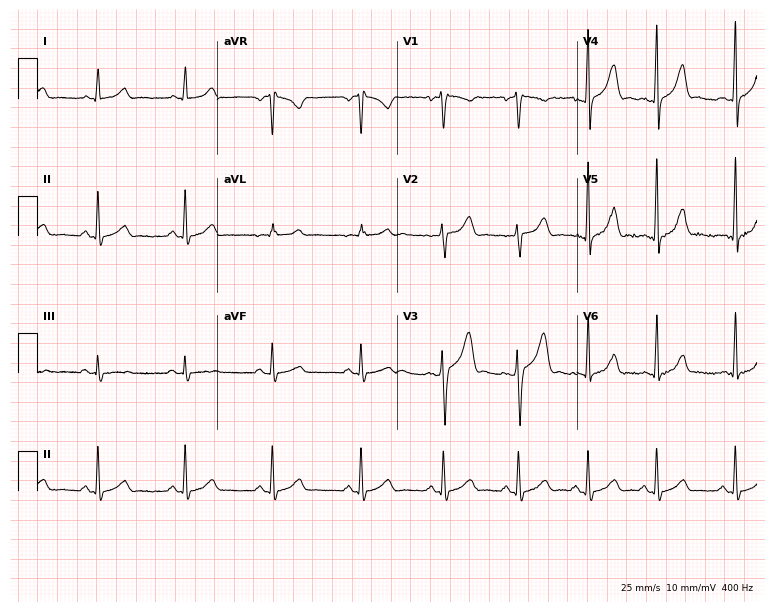
12-lead ECG from a male patient, 24 years old (7.3-second recording at 400 Hz). Recorded interpretation: within normal limits.